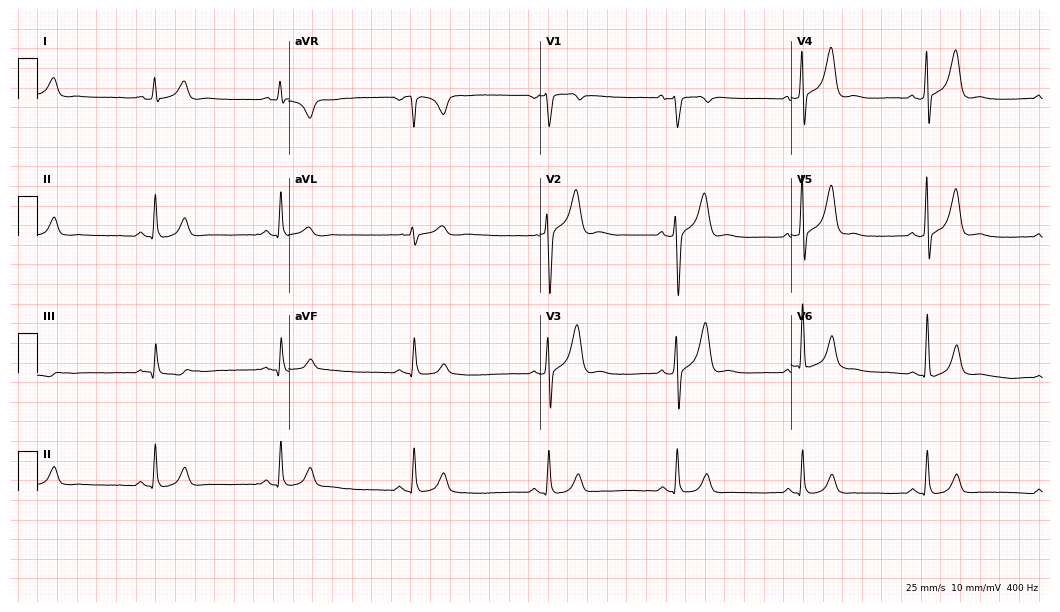
Resting 12-lead electrocardiogram. Patient: a male, 48 years old. None of these six findings is recorded: first-degree AV block, right bundle branch block, left bundle branch block, sinus bradycardia, atrial fibrillation, sinus tachycardia. Findings outside these six are not listed.